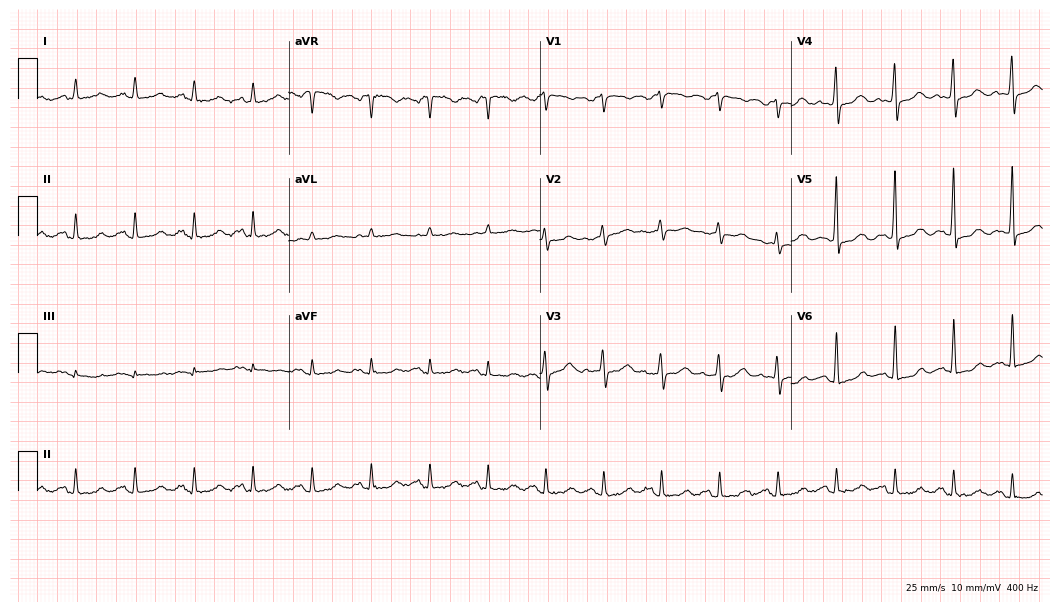
12-lead ECG from a 43-year-old woman (10.2-second recording at 400 Hz). No first-degree AV block, right bundle branch block, left bundle branch block, sinus bradycardia, atrial fibrillation or sinus tachycardia recorded for this tracing.